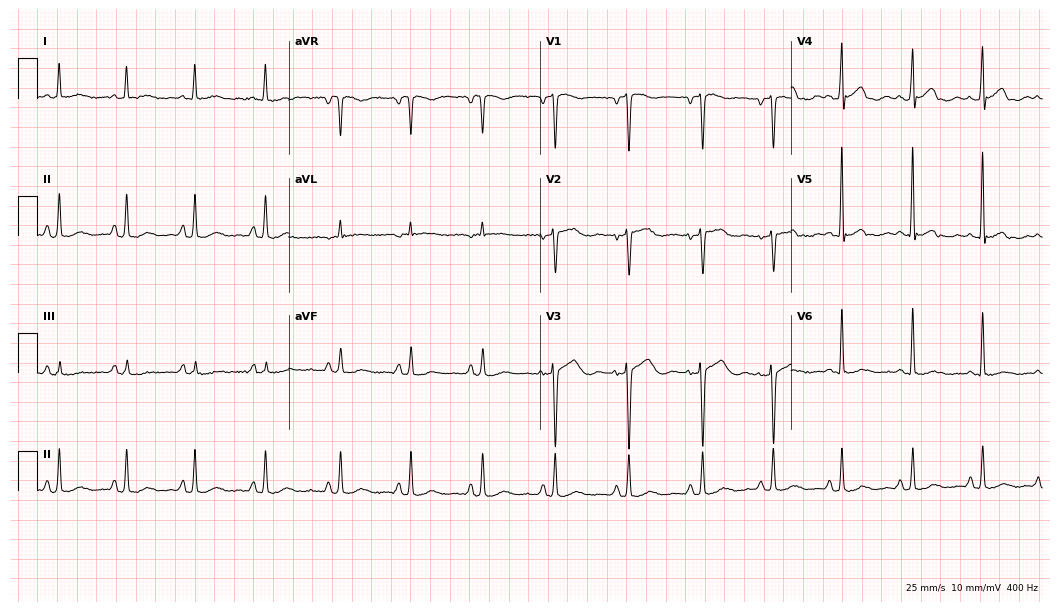
ECG (10.2-second recording at 400 Hz) — a 36-year-old woman. Screened for six findings — first-degree AV block, right bundle branch block (RBBB), left bundle branch block (LBBB), sinus bradycardia, atrial fibrillation (AF), sinus tachycardia — none is recorded. Findings outside these six are not listed.